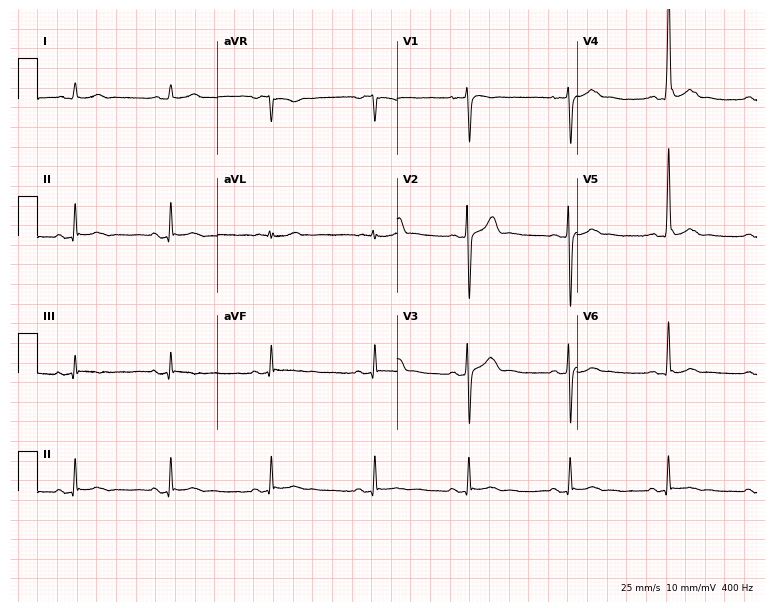
12-lead ECG from a 24-year-old male patient (7.3-second recording at 400 Hz). Recorded interpretation: within normal limits.